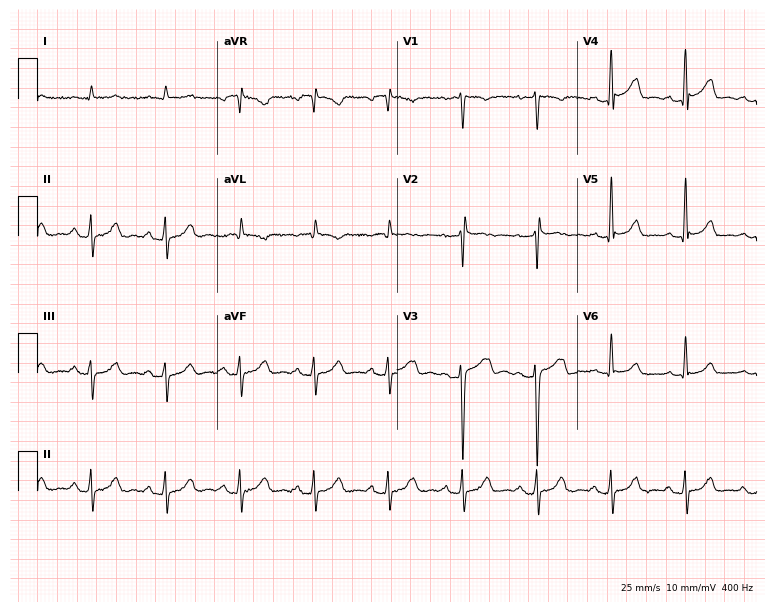
12-lead ECG from a male patient, 66 years old. No first-degree AV block, right bundle branch block (RBBB), left bundle branch block (LBBB), sinus bradycardia, atrial fibrillation (AF) or sinus tachycardia recorded for this tracing.